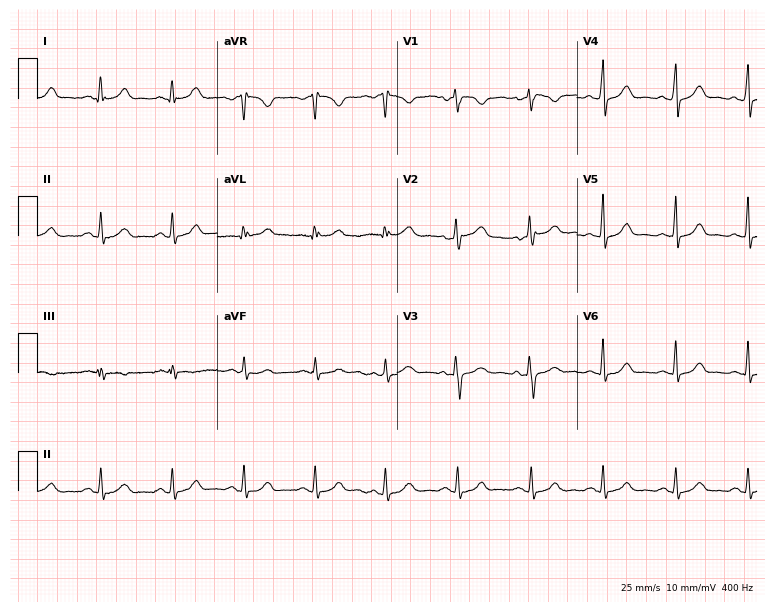
ECG (7.3-second recording at 400 Hz) — a female patient, 33 years old. Labelled as a normal ECG.